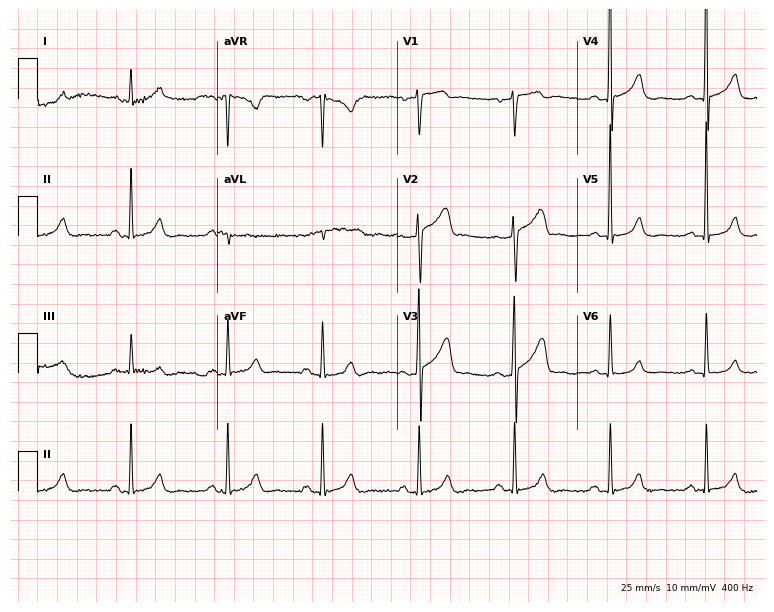
Standard 12-lead ECG recorded from a man, 57 years old. Read as a normal ECG.